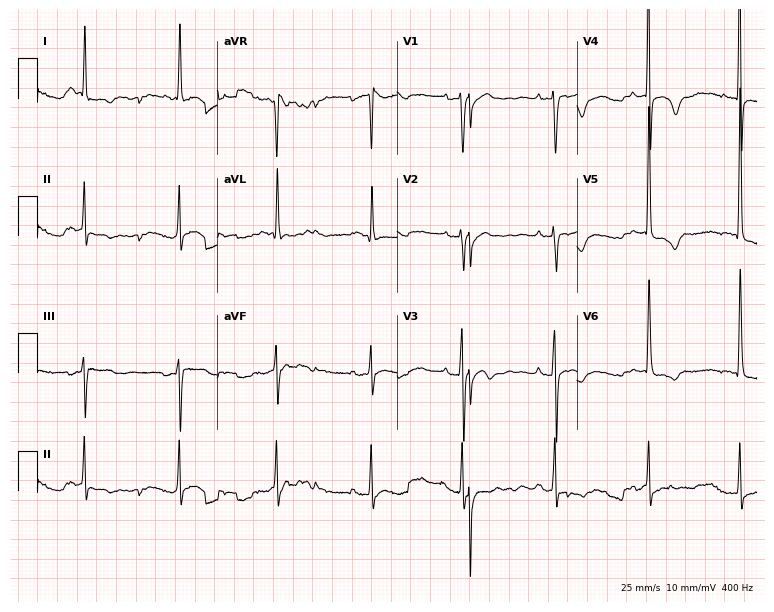
Electrocardiogram, a 79-year-old female. Of the six screened findings (first-degree AV block, right bundle branch block (RBBB), left bundle branch block (LBBB), sinus bradycardia, atrial fibrillation (AF), sinus tachycardia), none is recorded.